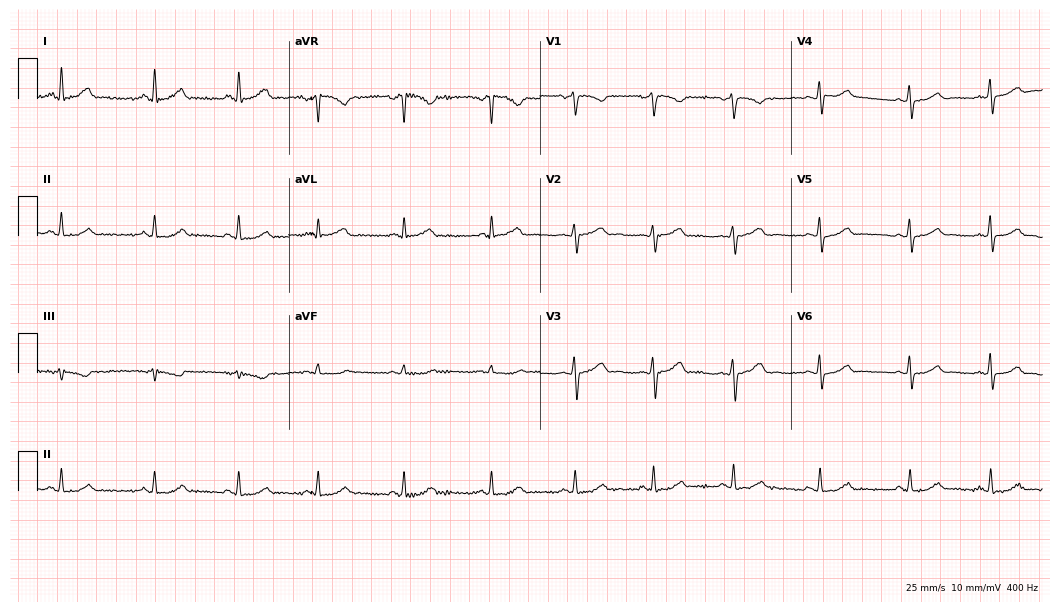
Standard 12-lead ECG recorded from a female patient, 29 years old. None of these six findings is recorded: first-degree AV block, right bundle branch block, left bundle branch block, sinus bradycardia, atrial fibrillation, sinus tachycardia.